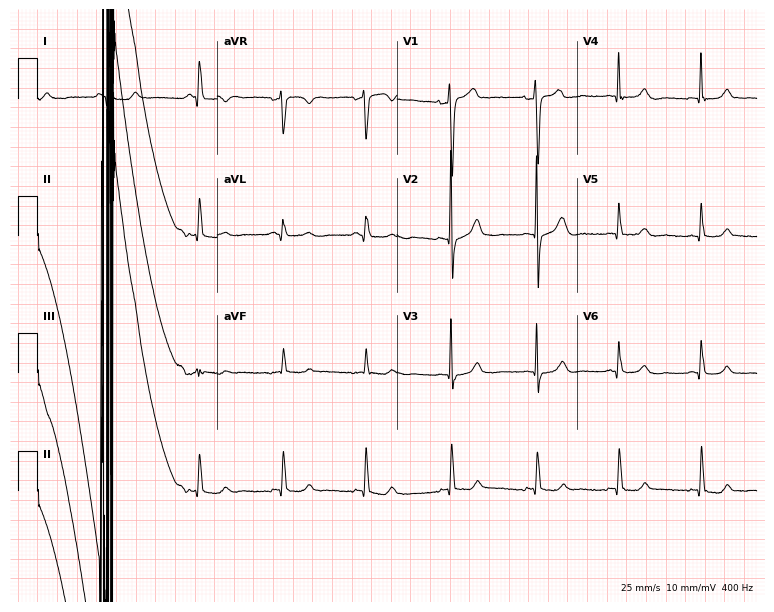
Resting 12-lead electrocardiogram. Patient: a man, 49 years old. Read as a normal ECG.